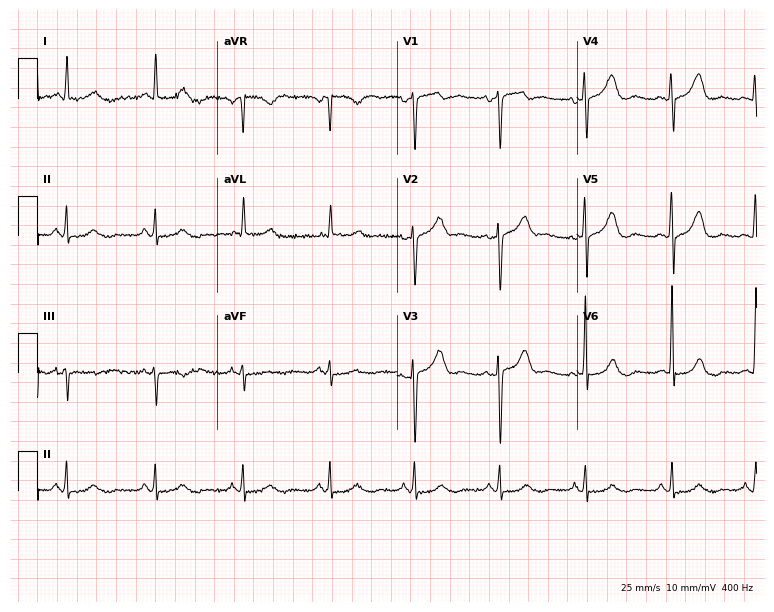
Standard 12-lead ECG recorded from a female, 68 years old (7.3-second recording at 400 Hz). None of these six findings is recorded: first-degree AV block, right bundle branch block (RBBB), left bundle branch block (LBBB), sinus bradycardia, atrial fibrillation (AF), sinus tachycardia.